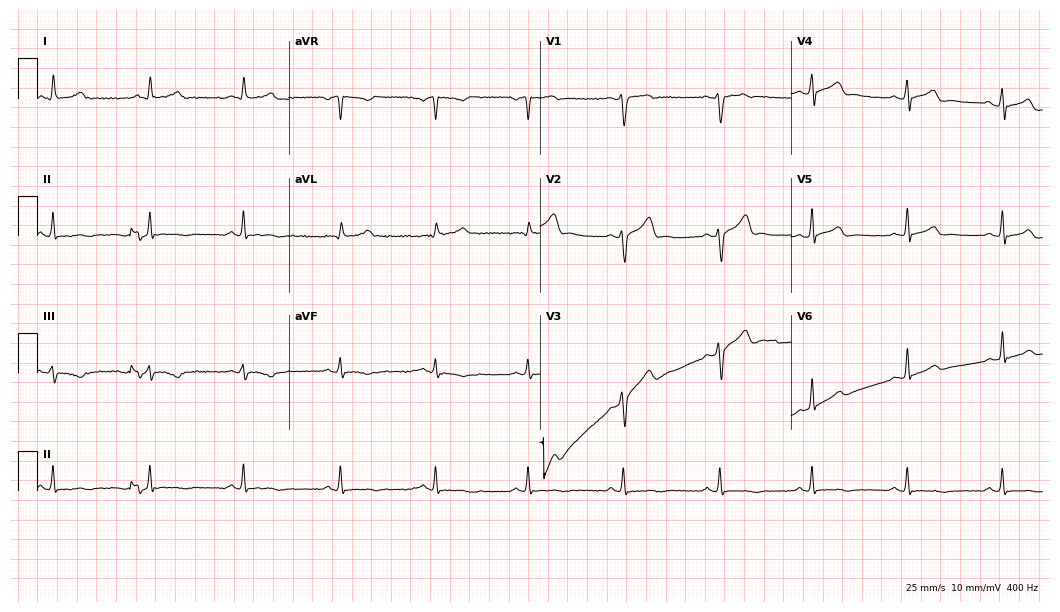
Electrocardiogram, a 22-year-old male. Of the six screened findings (first-degree AV block, right bundle branch block, left bundle branch block, sinus bradycardia, atrial fibrillation, sinus tachycardia), none is recorded.